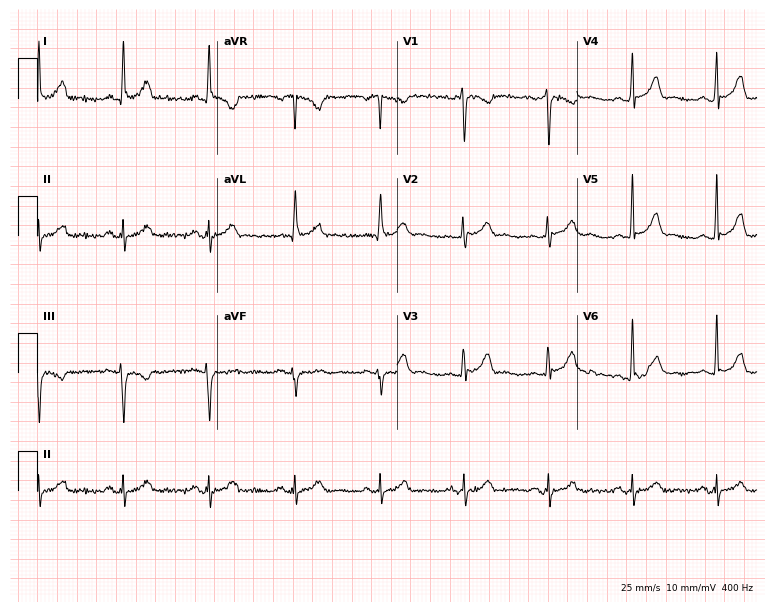
Electrocardiogram, a female patient, 50 years old. Of the six screened findings (first-degree AV block, right bundle branch block, left bundle branch block, sinus bradycardia, atrial fibrillation, sinus tachycardia), none is recorded. Other findings, if any, are not listed.